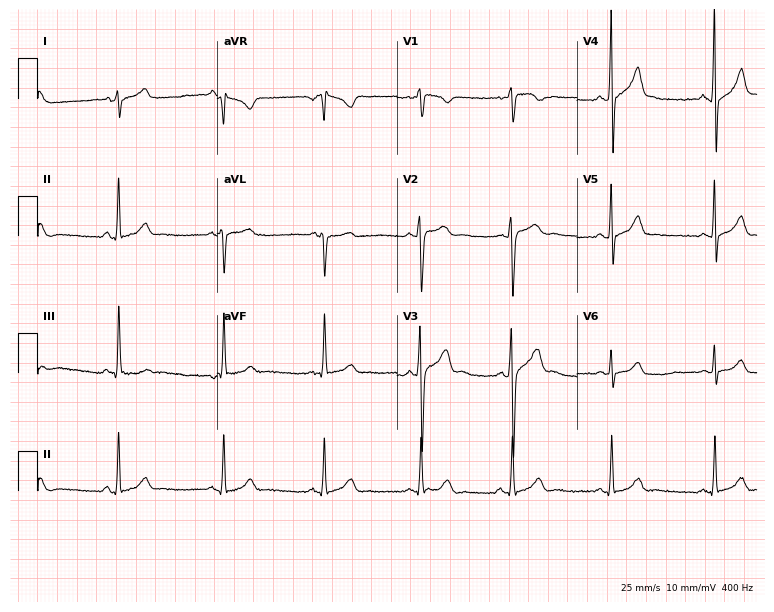
12-lead ECG (7.3-second recording at 400 Hz) from a male, 17 years old. Screened for six findings — first-degree AV block, right bundle branch block, left bundle branch block, sinus bradycardia, atrial fibrillation, sinus tachycardia — none is recorded. Findings outside these six are not listed.